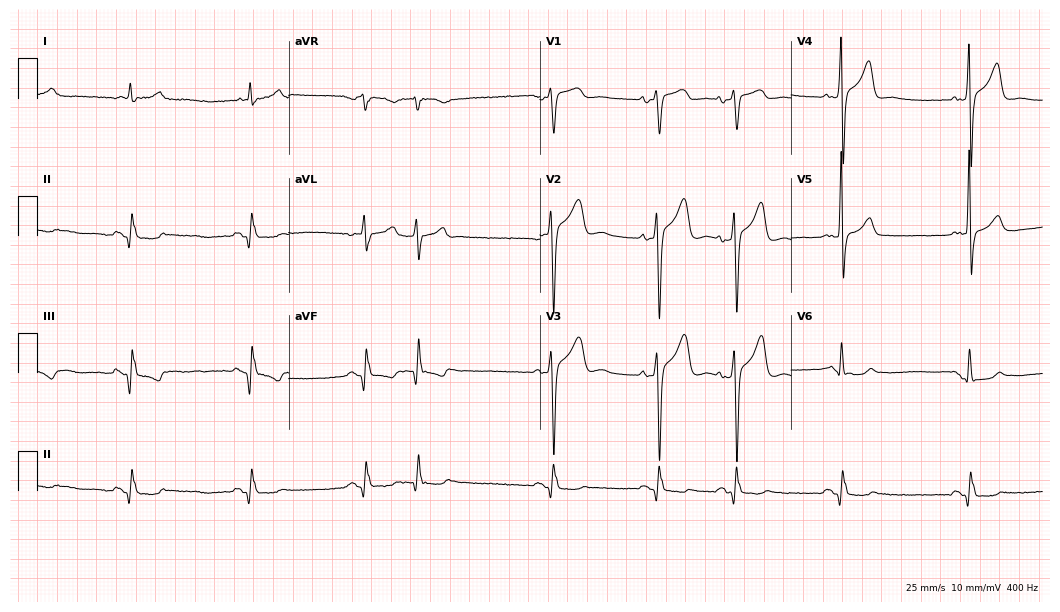
ECG — a 62-year-old man. Screened for six findings — first-degree AV block, right bundle branch block, left bundle branch block, sinus bradycardia, atrial fibrillation, sinus tachycardia — none is recorded.